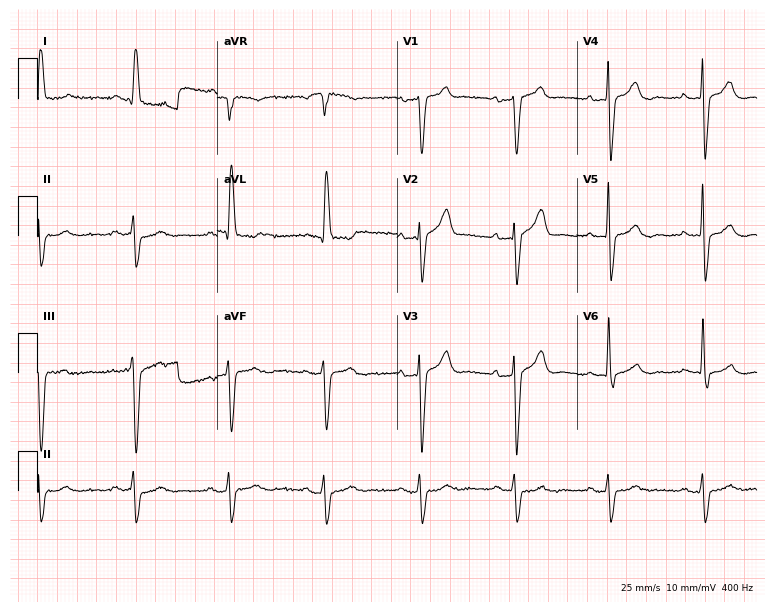
Resting 12-lead electrocardiogram. Patient: a man, 83 years old. None of these six findings is recorded: first-degree AV block, right bundle branch block (RBBB), left bundle branch block (LBBB), sinus bradycardia, atrial fibrillation (AF), sinus tachycardia.